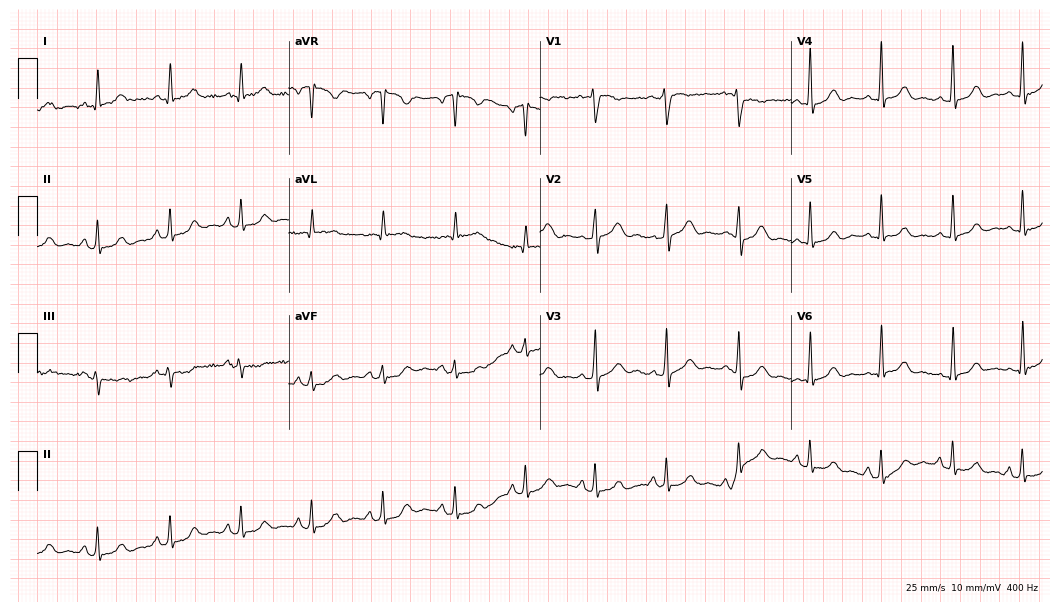
Standard 12-lead ECG recorded from a female patient, 54 years old. Read as a normal ECG.